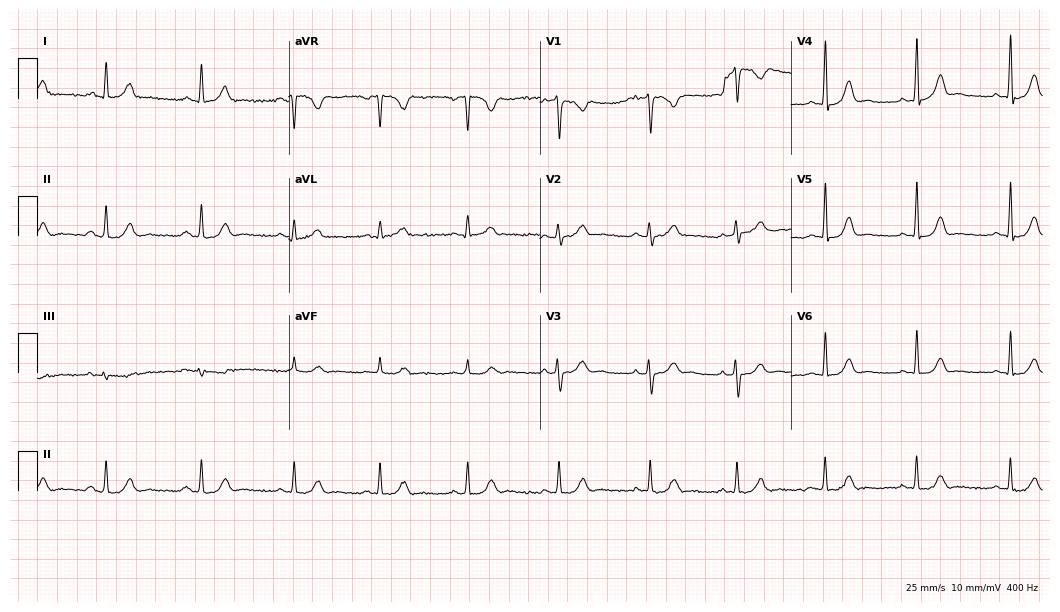
12-lead ECG from a 34-year-old woman (10.2-second recording at 400 Hz). Recorded interpretation: within normal limits.